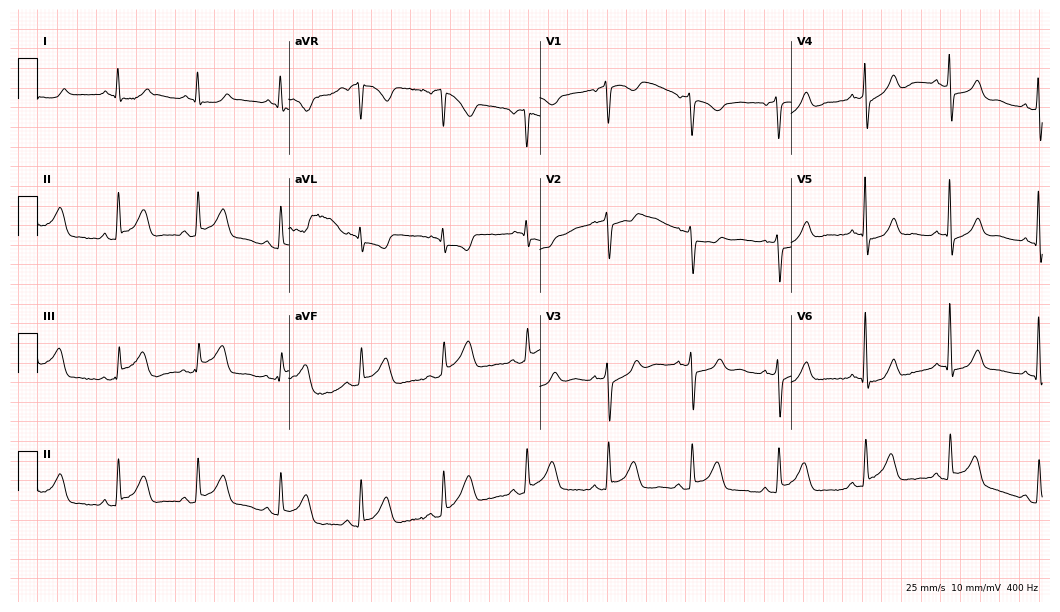
12-lead ECG (10.2-second recording at 400 Hz) from a 66-year-old woman. Screened for six findings — first-degree AV block, right bundle branch block (RBBB), left bundle branch block (LBBB), sinus bradycardia, atrial fibrillation (AF), sinus tachycardia — none is recorded.